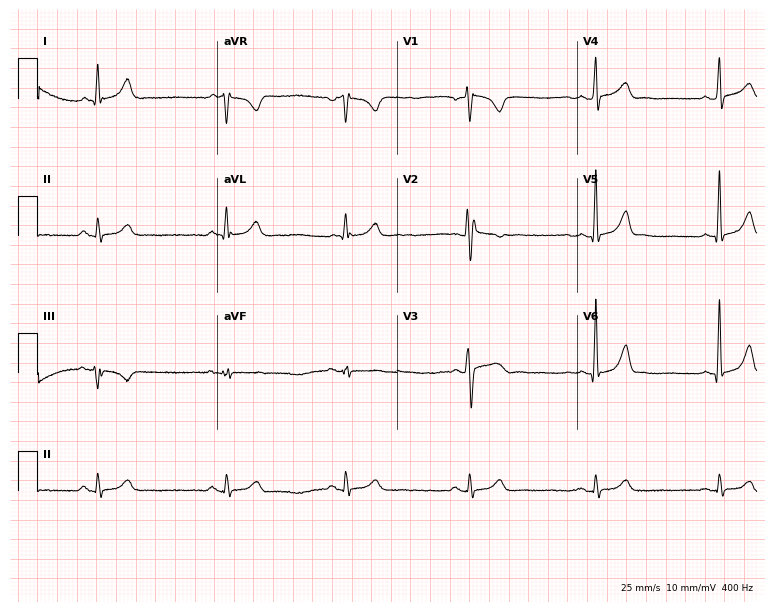
12-lead ECG from a man, 36 years old. Screened for six findings — first-degree AV block, right bundle branch block, left bundle branch block, sinus bradycardia, atrial fibrillation, sinus tachycardia — none is recorded. Only these six findings were labelled.